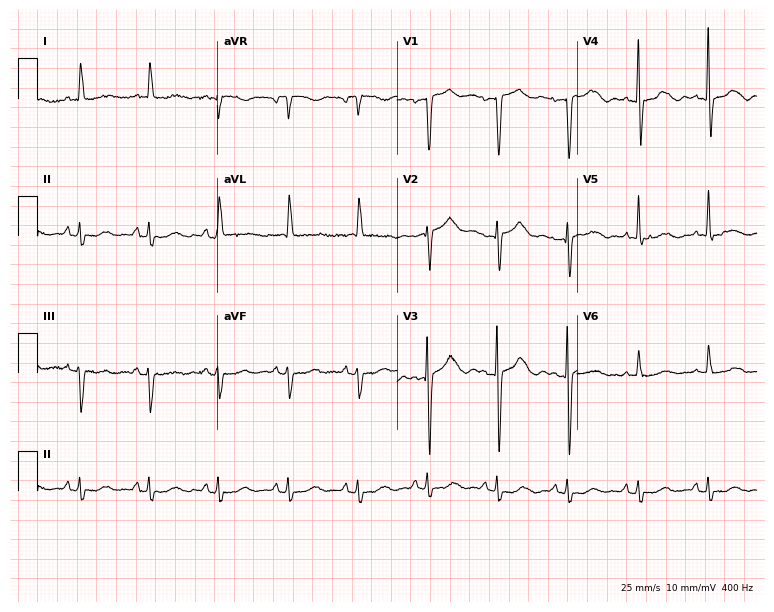
ECG — a 73-year-old female. Screened for six findings — first-degree AV block, right bundle branch block, left bundle branch block, sinus bradycardia, atrial fibrillation, sinus tachycardia — none is recorded. Only these six findings were labelled.